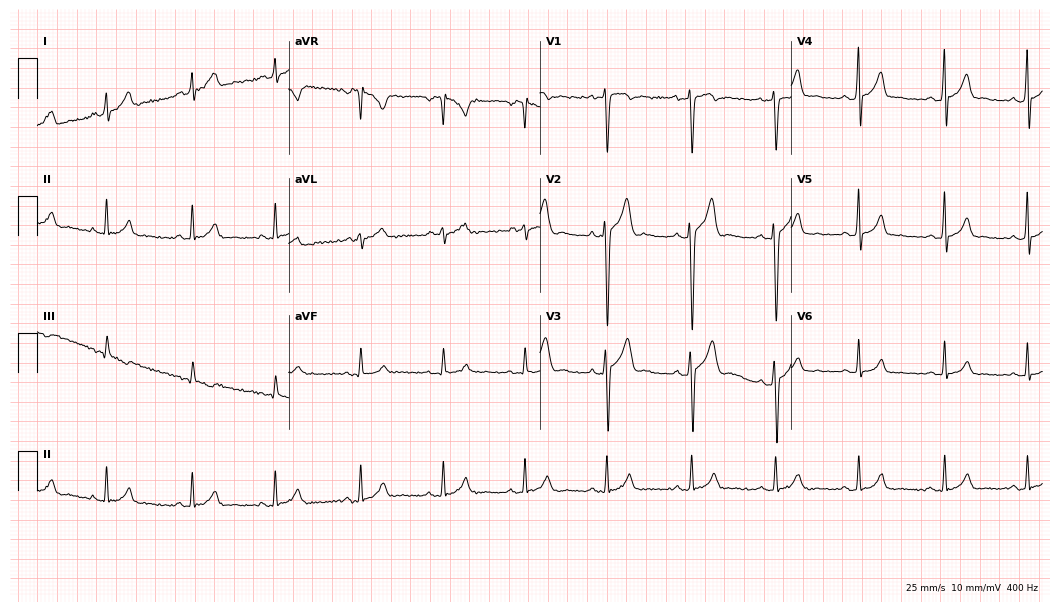
12-lead ECG from a 19-year-old male patient (10.2-second recording at 400 Hz). Recorded interpretation: within normal limits.